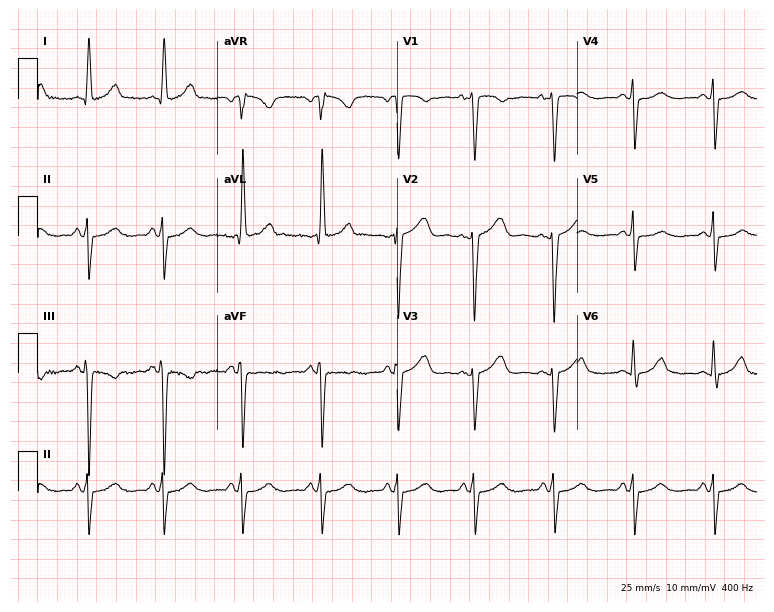
ECG — a 37-year-old female patient. Screened for six findings — first-degree AV block, right bundle branch block, left bundle branch block, sinus bradycardia, atrial fibrillation, sinus tachycardia — none is recorded. Findings outside these six are not listed.